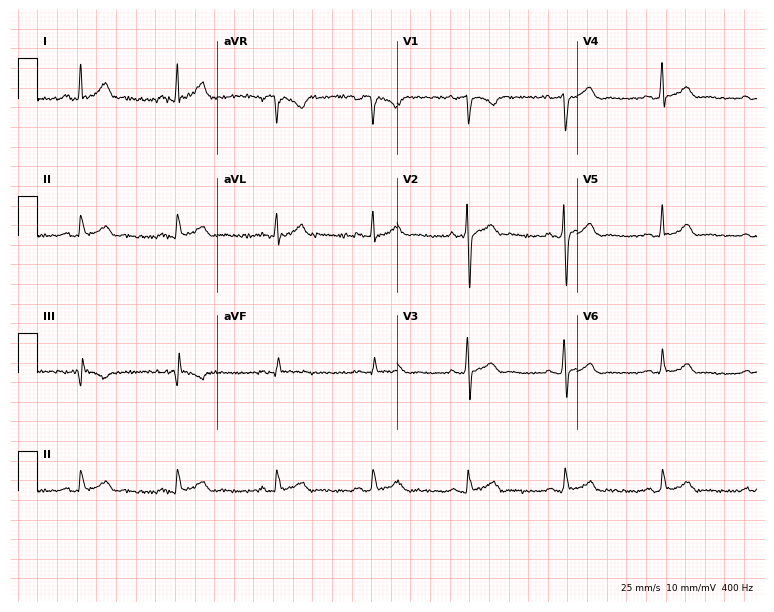
Electrocardiogram (7.3-second recording at 400 Hz), a male patient, 36 years old. Of the six screened findings (first-degree AV block, right bundle branch block, left bundle branch block, sinus bradycardia, atrial fibrillation, sinus tachycardia), none is recorded. Other findings, if any, are not listed.